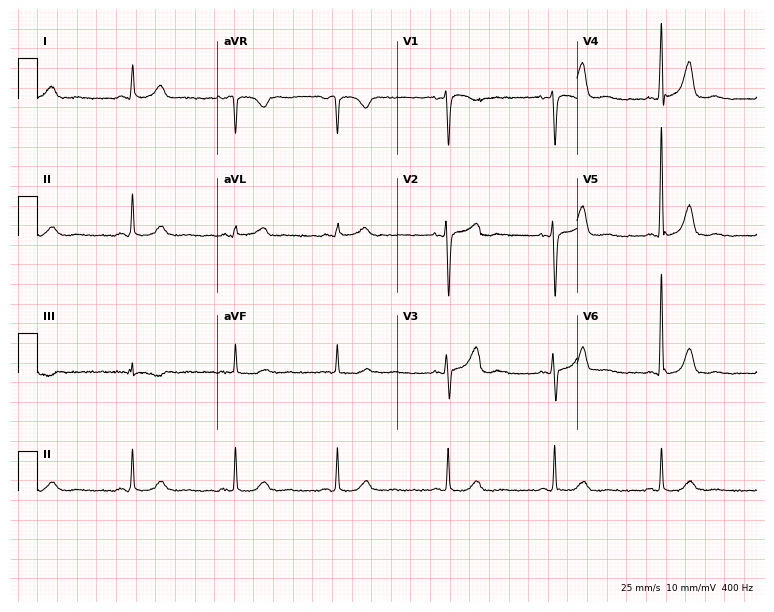
Resting 12-lead electrocardiogram (7.3-second recording at 400 Hz). Patient: a female, 62 years old. Read as a normal ECG.